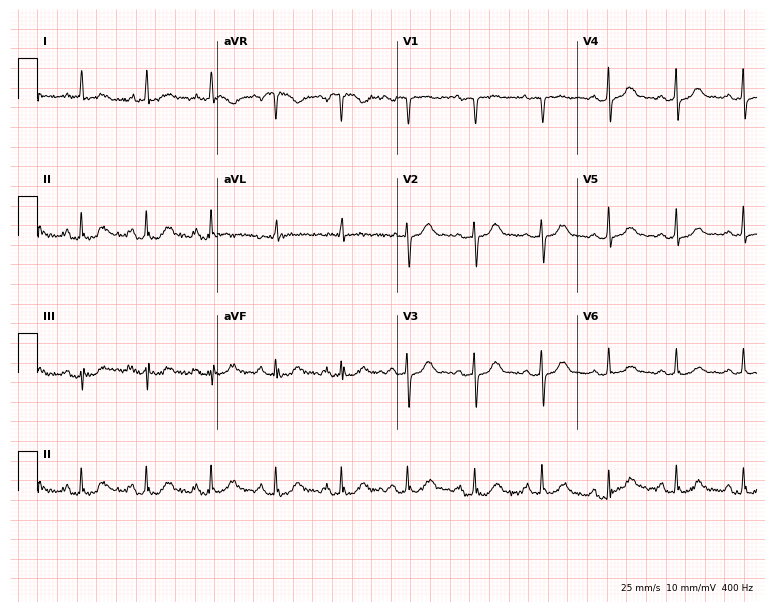
12-lead ECG from a 59-year-old female. Screened for six findings — first-degree AV block, right bundle branch block, left bundle branch block, sinus bradycardia, atrial fibrillation, sinus tachycardia — none is recorded. Findings outside these six are not listed.